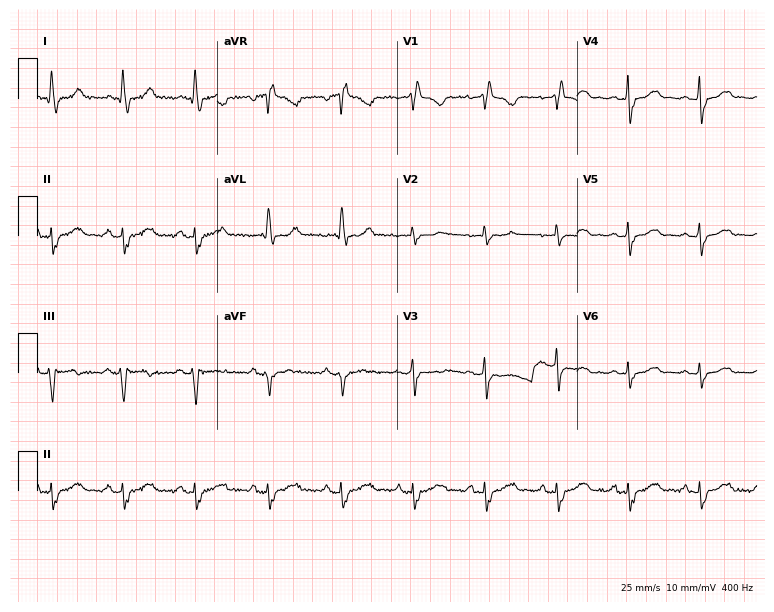
Electrocardiogram (7.3-second recording at 400 Hz), a 50-year-old female patient. Interpretation includes right bundle branch block (RBBB).